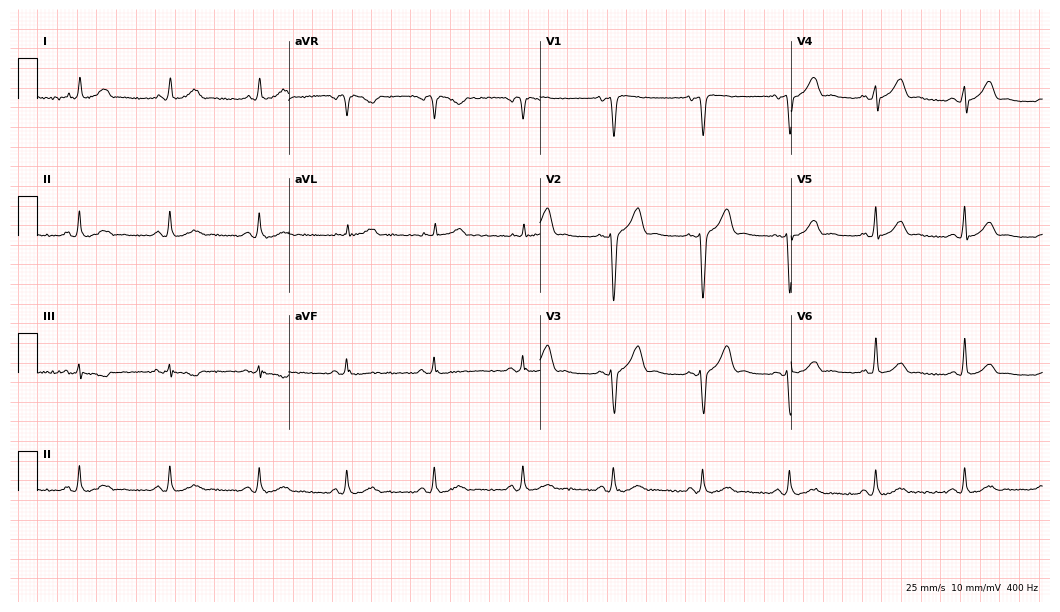
12-lead ECG (10.2-second recording at 400 Hz) from a 41-year-old male. Screened for six findings — first-degree AV block, right bundle branch block, left bundle branch block, sinus bradycardia, atrial fibrillation, sinus tachycardia — none is recorded.